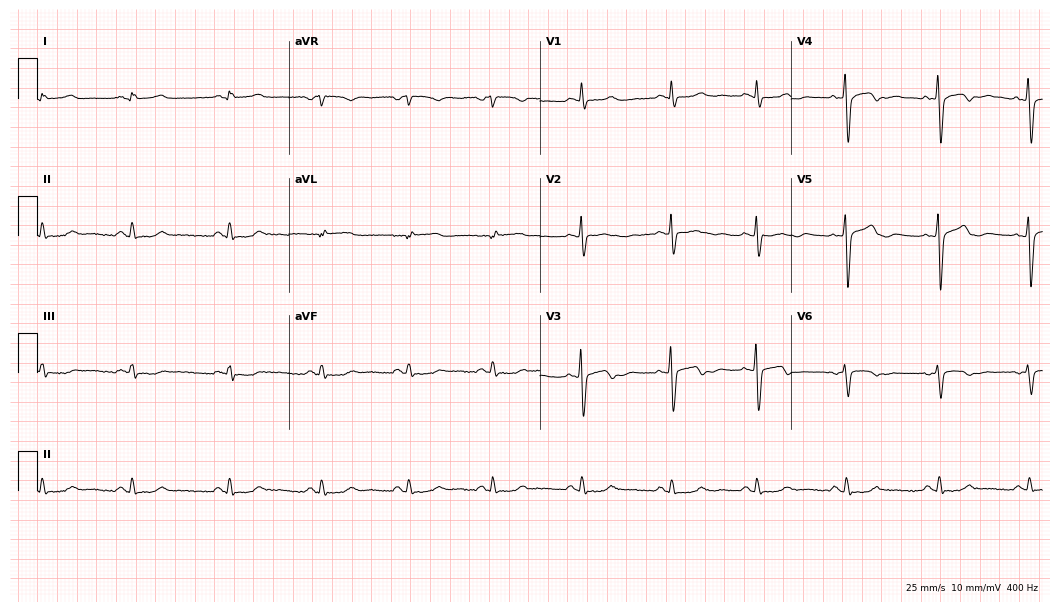
Standard 12-lead ECG recorded from a 38-year-old woman. None of these six findings is recorded: first-degree AV block, right bundle branch block, left bundle branch block, sinus bradycardia, atrial fibrillation, sinus tachycardia. Other findings, if any, are not listed.